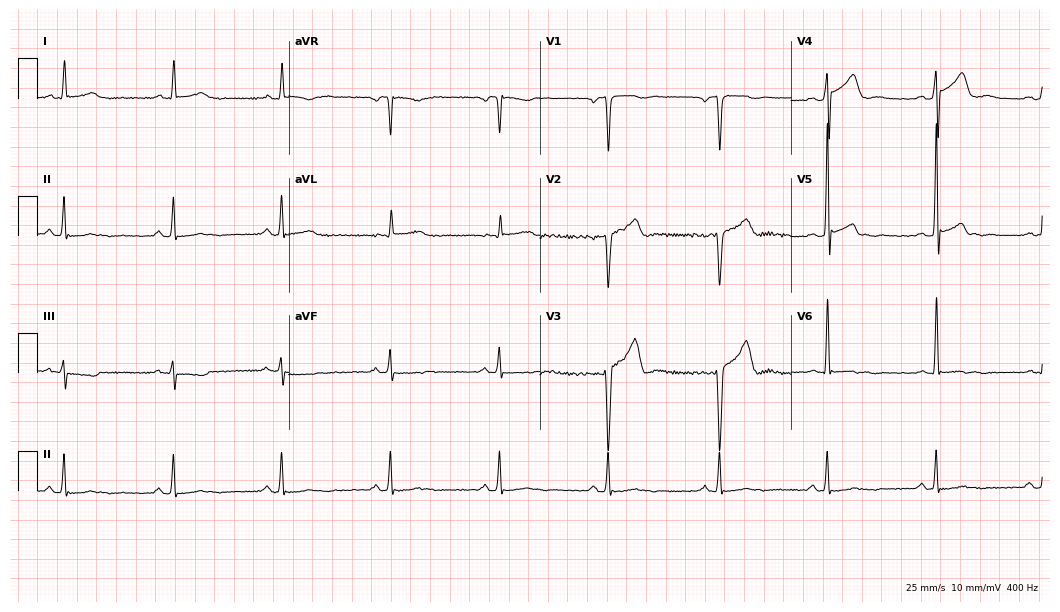
Resting 12-lead electrocardiogram (10.2-second recording at 400 Hz). Patient: a male, 51 years old. None of these six findings is recorded: first-degree AV block, right bundle branch block, left bundle branch block, sinus bradycardia, atrial fibrillation, sinus tachycardia.